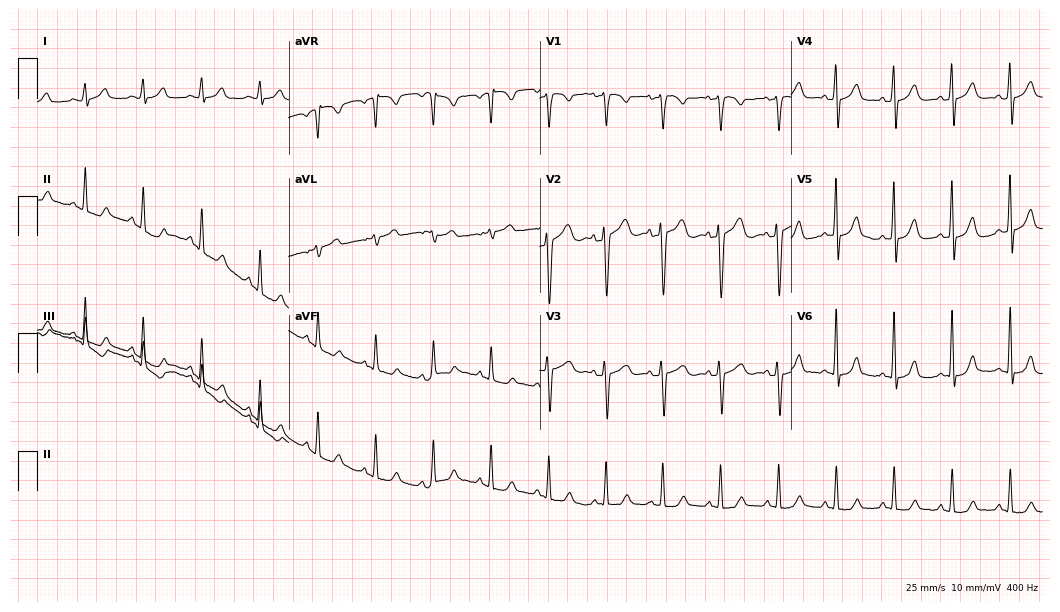
ECG (10.2-second recording at 400 Hz) — a 50-year-old female. Labelled as a normal ECG.